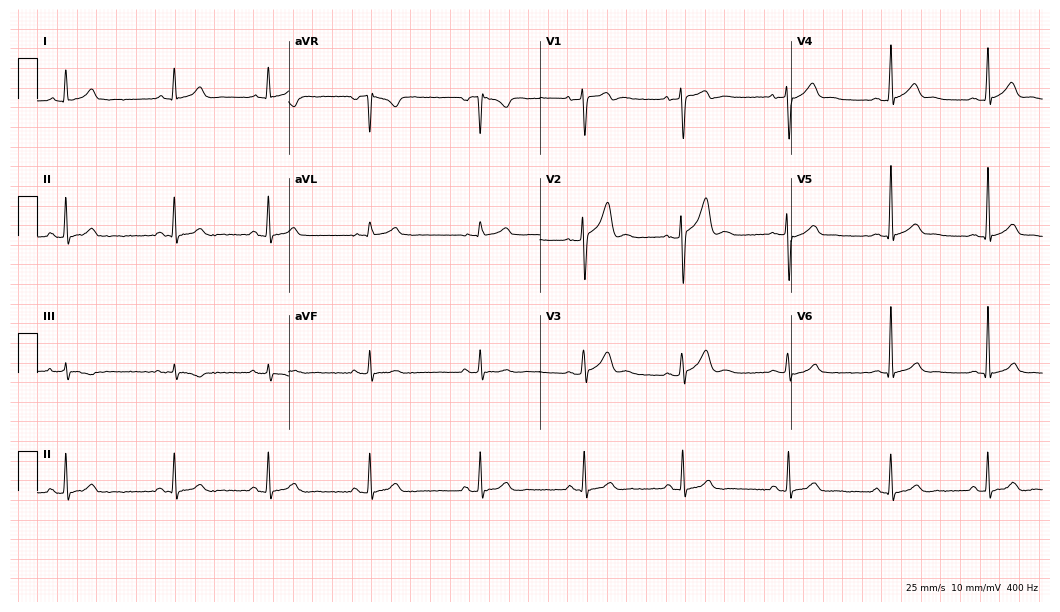
ECG (10.2-second recording at 400 Hz) — a male, 28 years old. Screened for six findings — first-degree AV block, right bundle branch block, left bundle branch block, sinus bradycardia, atrial fibrillation, sinus tachycardia — none is recorded.